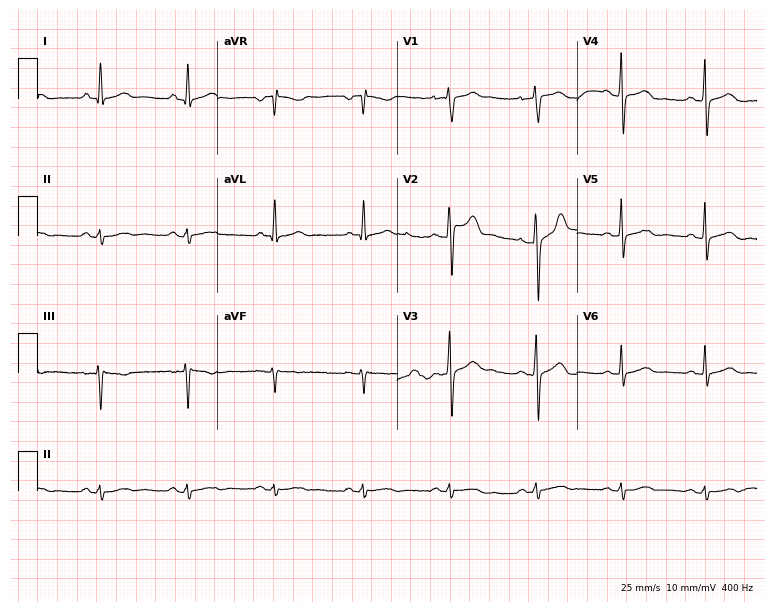
Electrocardiogram (7.3-second recording at 400 Hz), a male patient, 57 years old. Overall reading on record: normal ECG.